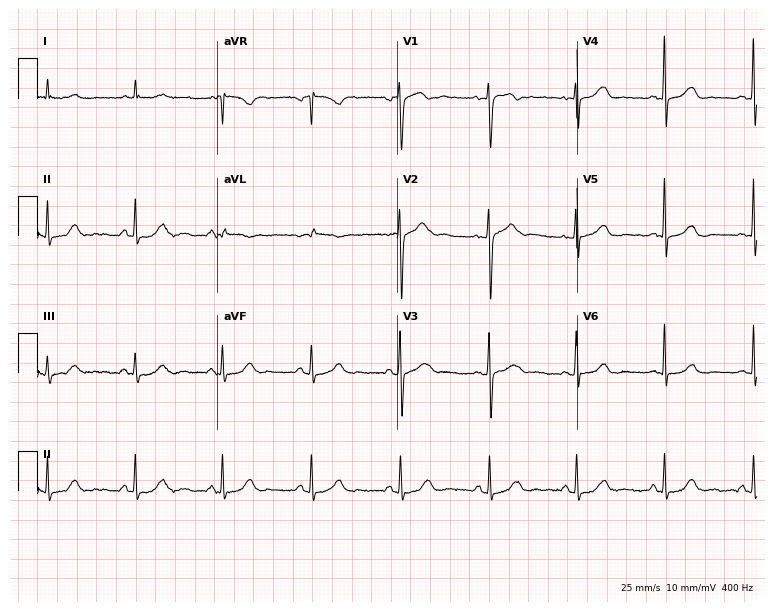
ECG — a 78-year-old female. Labelled as a normal ECG.